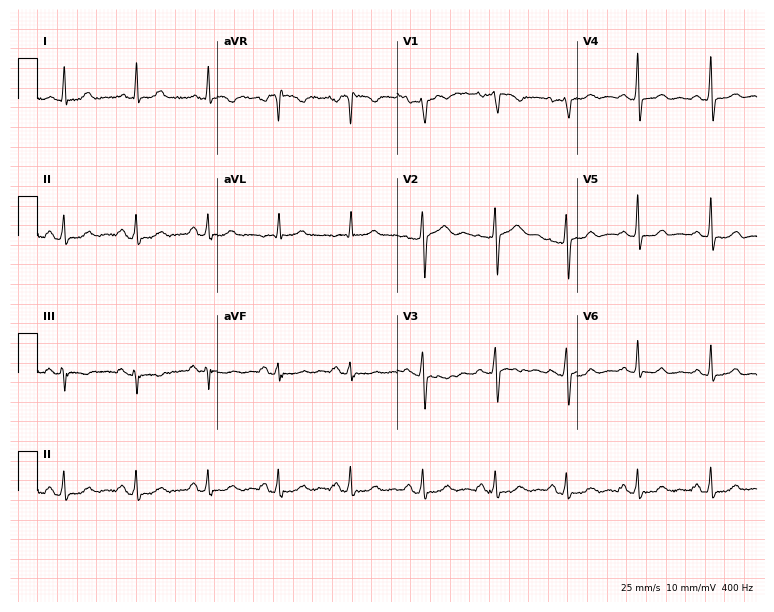
12-lead ECG from a woman, 39 years old (7.3-second recording at 400 Hz). Recorded interpretation: within normal limits.